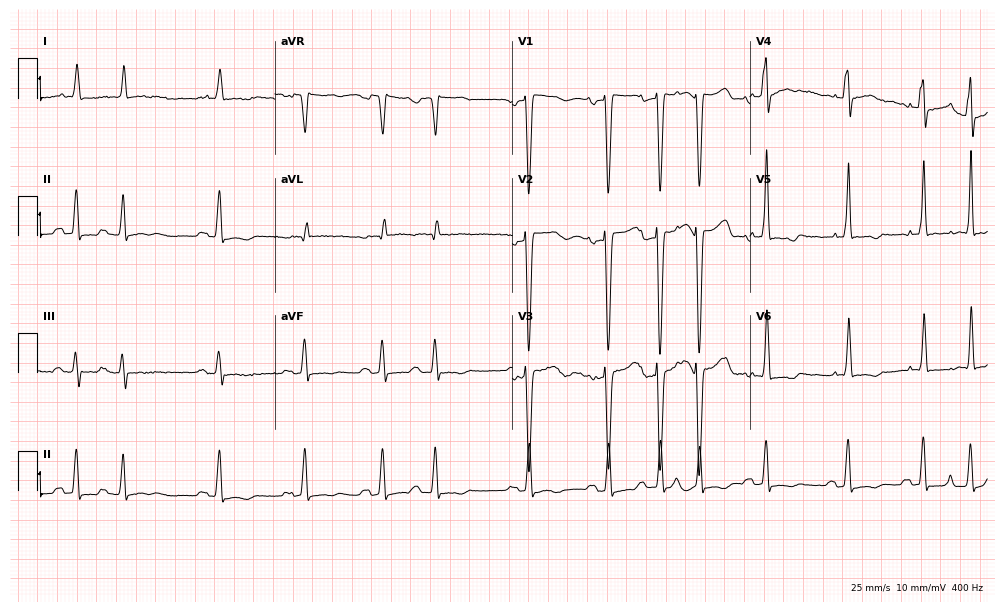
ECG — a 72-year-old male patient. Screened for six findings — first-degree AV block, right bundle branch block, left bundle branch block, sinus bradycardia, atrial fibrillation, sinus tachycardia — none is recorded. Only these six findings were labelled.